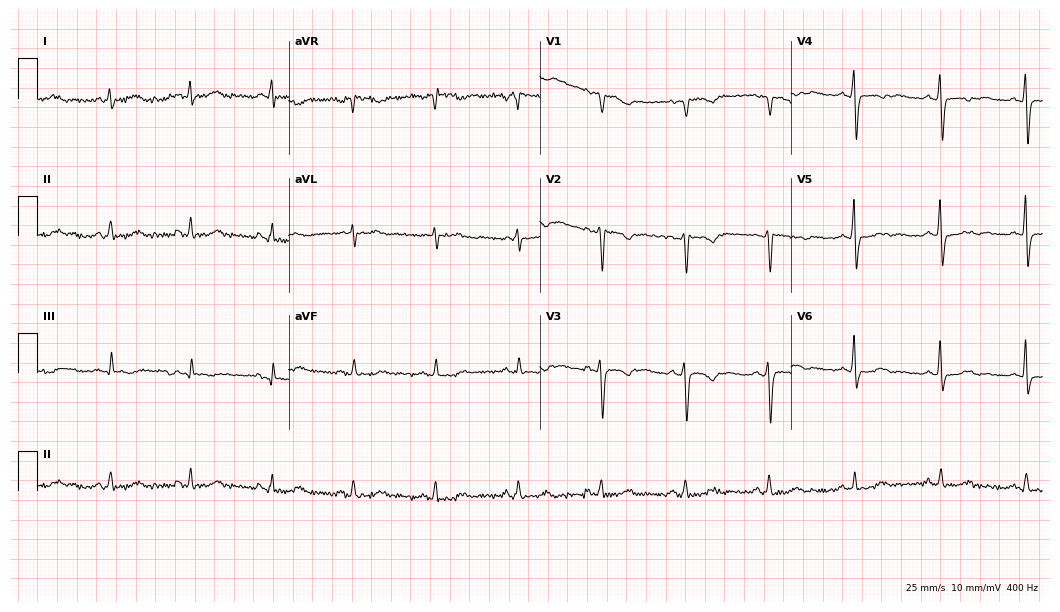
Electrocardiogram, a female patient, 65 years old. Of the six screened findings (first-degree AV block, right bundle branch block, left bundle branch block, sinus bradycardia, atrial fibrillation, sinus tachycardia), none is recorded. Only these six findings were labelled.